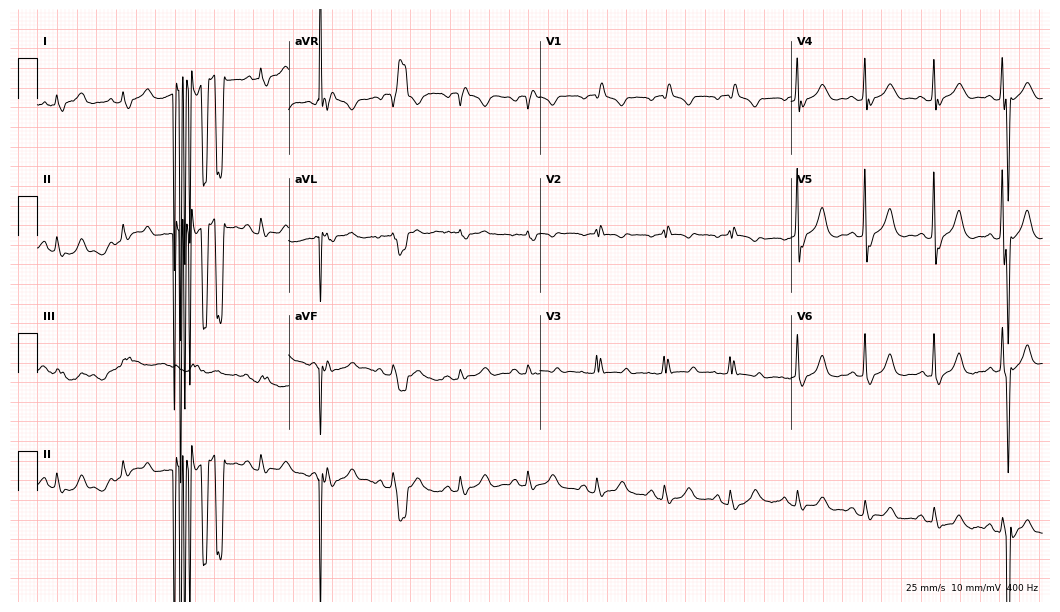
Standard 12-lead ECG recorded from a female patient, 67 years old (10.2-second recording at 400 Hz). The tracing shows right bundle branch block, atrial fibrillation.